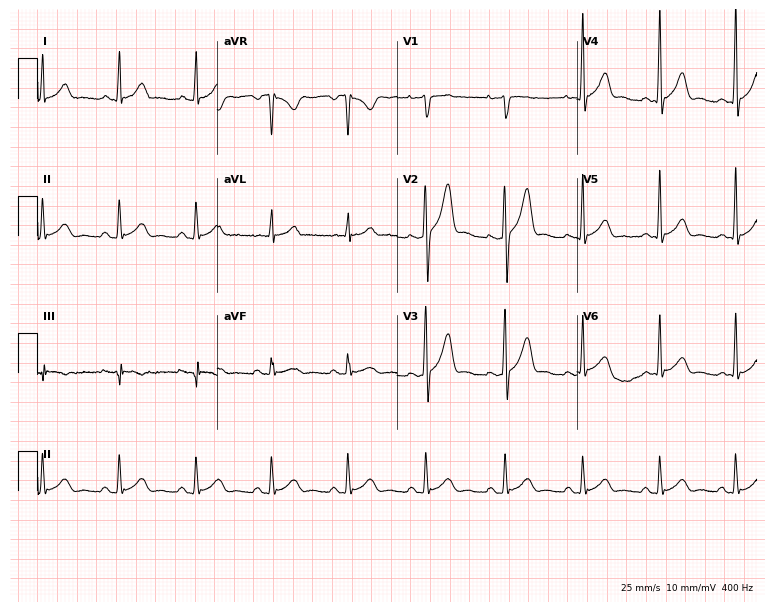
12-lead ECG from a 29-year-old male patient. Recorded interpretation: within normal limits.